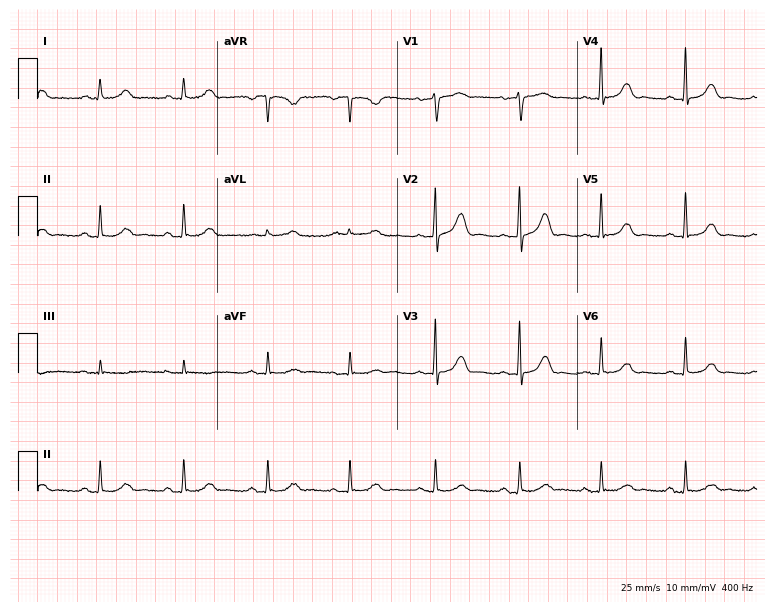
12-lead ECG from a female patient, 71 years old. Labelled as a normal ECG.